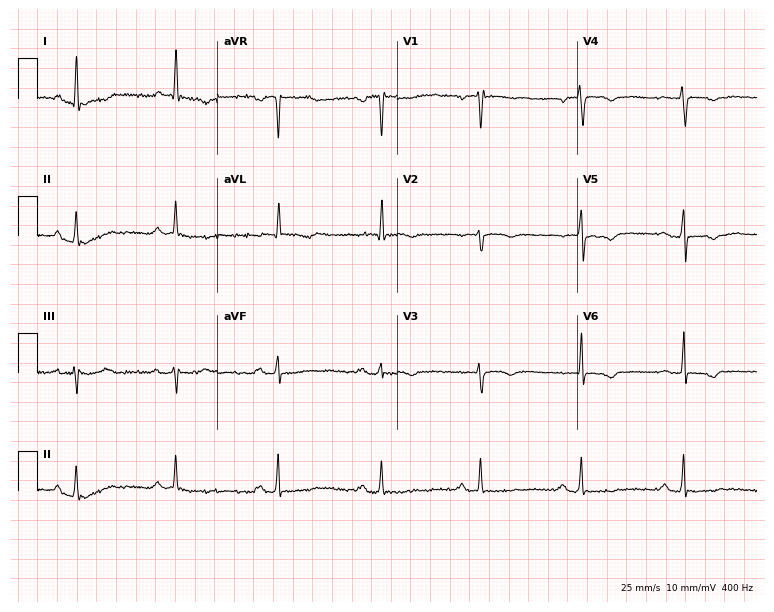
12-lead ECG from a female, 57 years old. No first-degree AV block, right bundle branch block (RBBB), left bundle branch block (LBBB), sinus bradycardia, atrial fibrillation (AF) or sinus tachycardia recorded for this tracing.